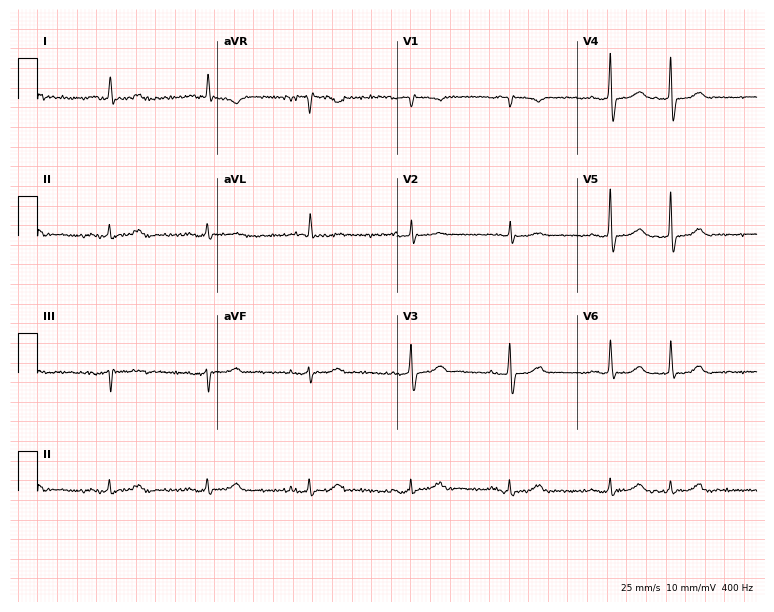
Resting 12-lead electrocardiogram. Patient: an 85-year-old male. Read as a normal ECG.